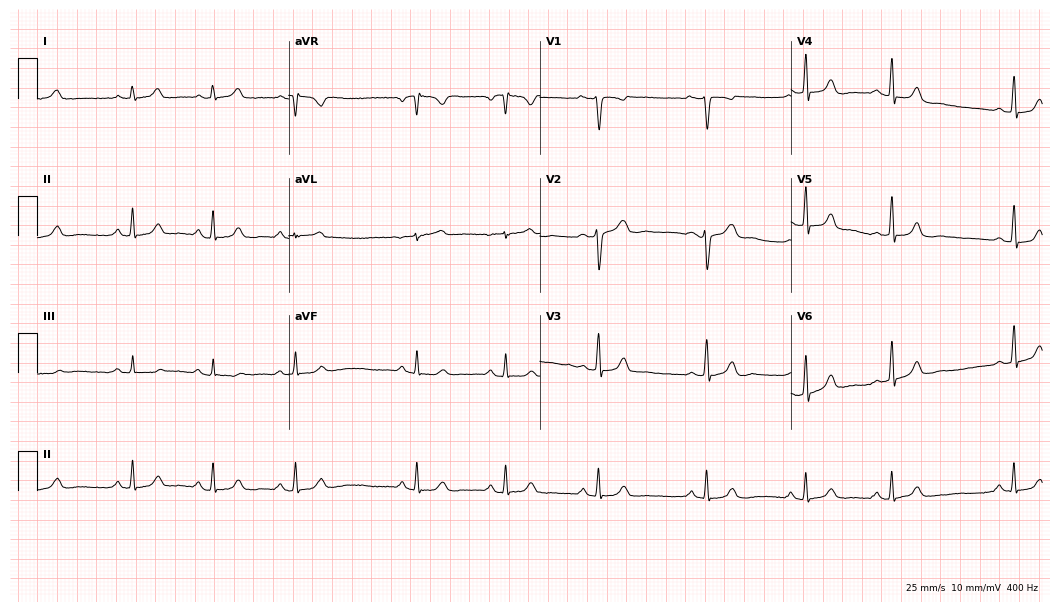
Resting 12-lead electrocardiogram. Patient: a 29-year-old female. Read as a normal ECG.